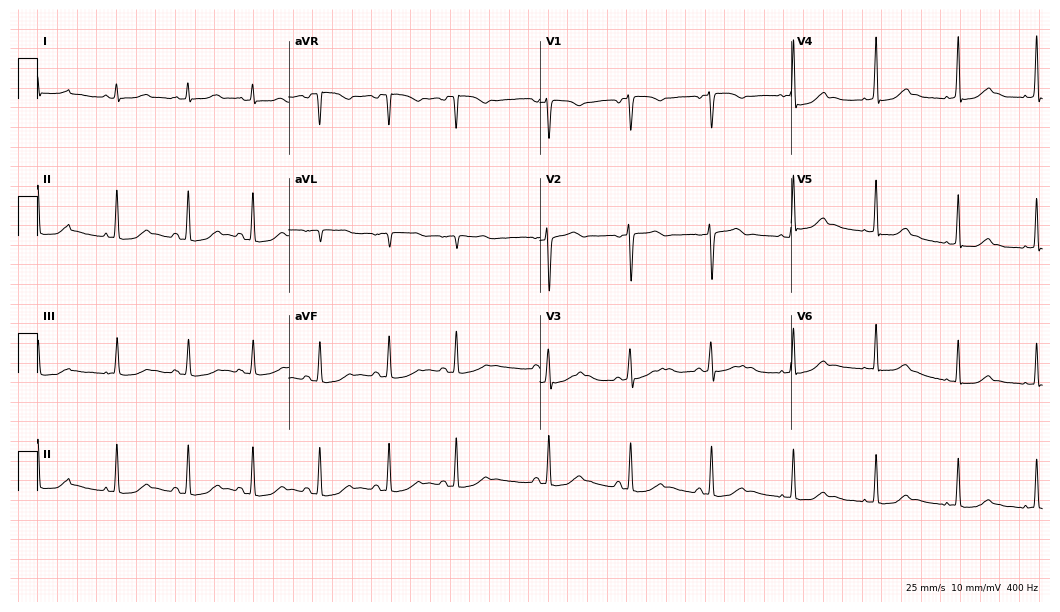
Resting 12-lead electrocardiogram. Patient: a female, 30 years old. None of these six findings is recorded: first-degree AV block, right bundle branch block, left bundle branch block, sinus bradycardia, atrial fibrillation, sinus tachycardia.